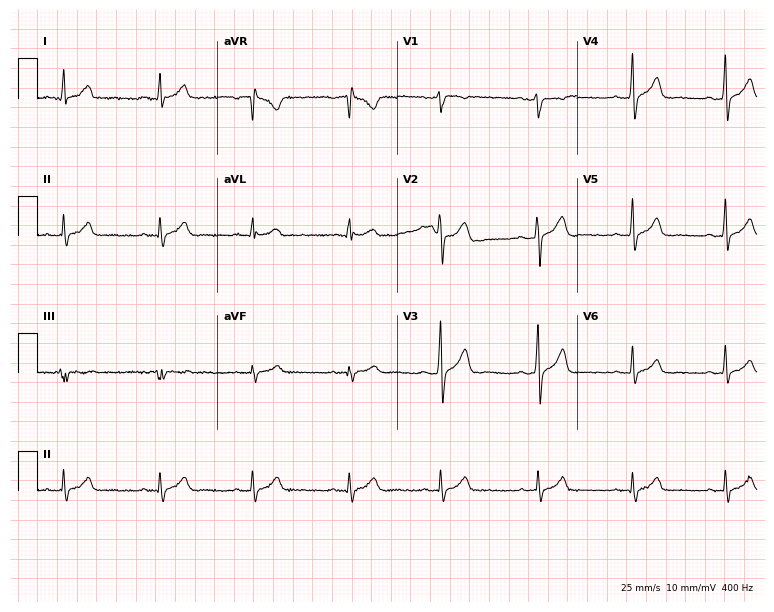
12-lead ECG (7.3-second recording at 400 Hz) from a male patient, 25 years old. Labelled as a normal ECG.